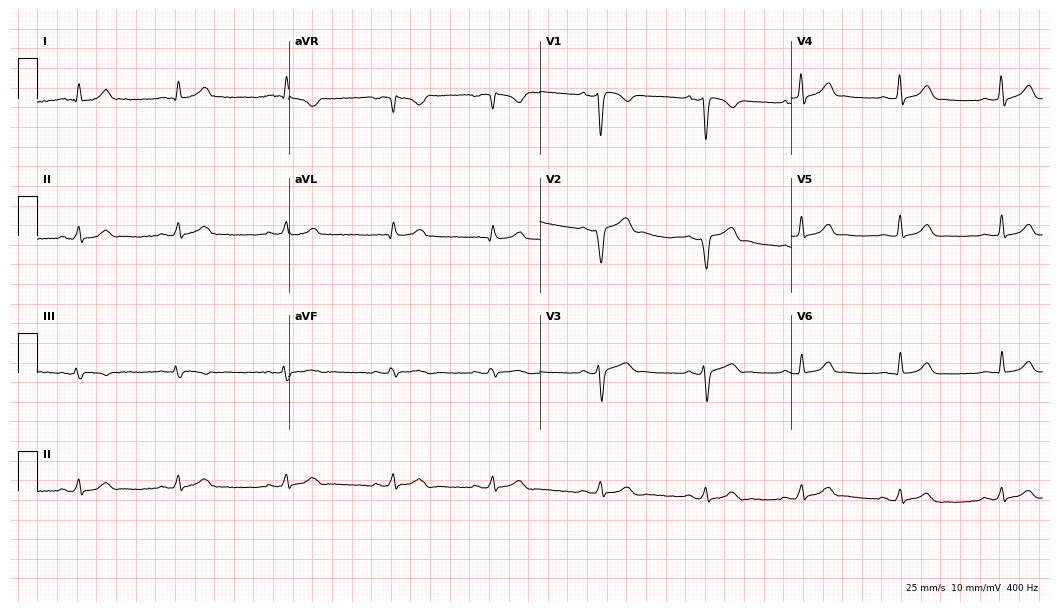
12-lead ECG from a 32-year-old woman (10.2-second recording at 400 Hz). No first-degree AV block, right bundle branch block (RBBB), left bundle branch block (LBBB), sinus bradycardia, atrial fibrillation (AF) or sinus tachycardia recorded for this tracing.